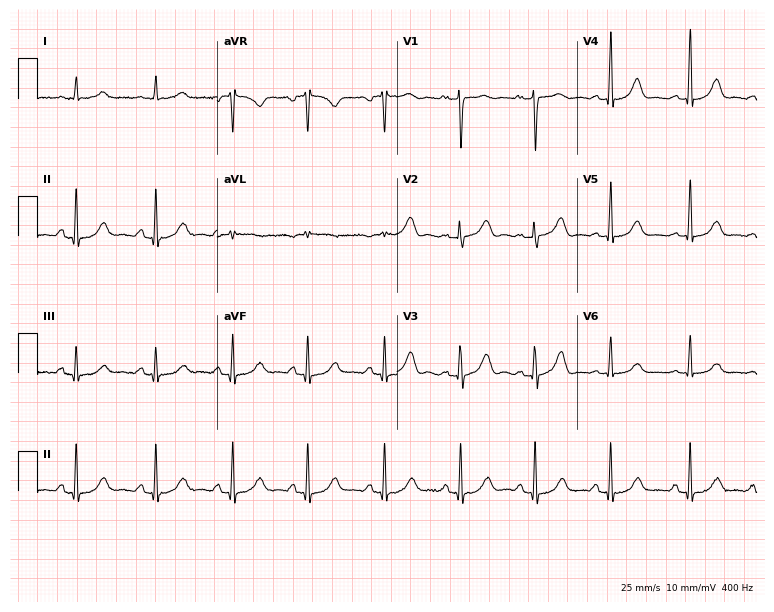
12-lead ECG from a female, 72 years old. No first-degree AV block, right bundle branch block, left bundle branch block, sinus bradycardia, atrial fibrillation or sinus tachycardia recorded for this tracing.